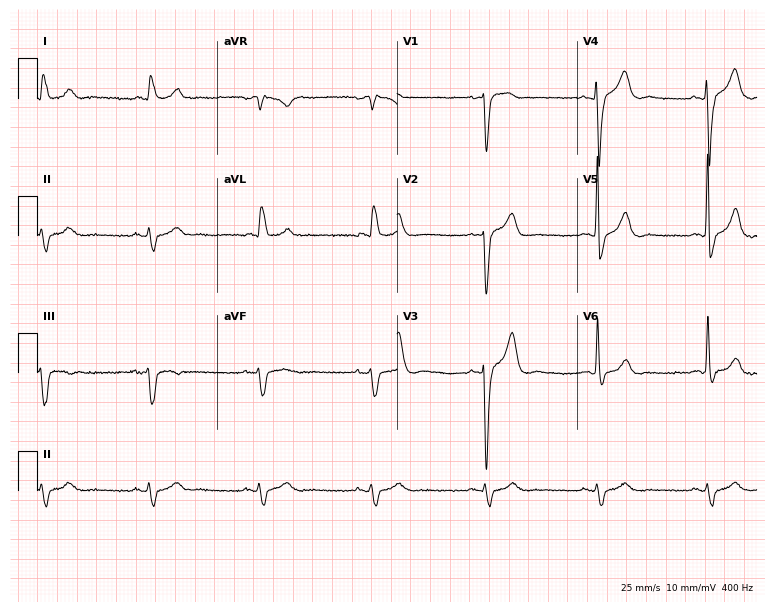
ECG — a 79-year-old male. Findings include right bundle branch block (RBBB).